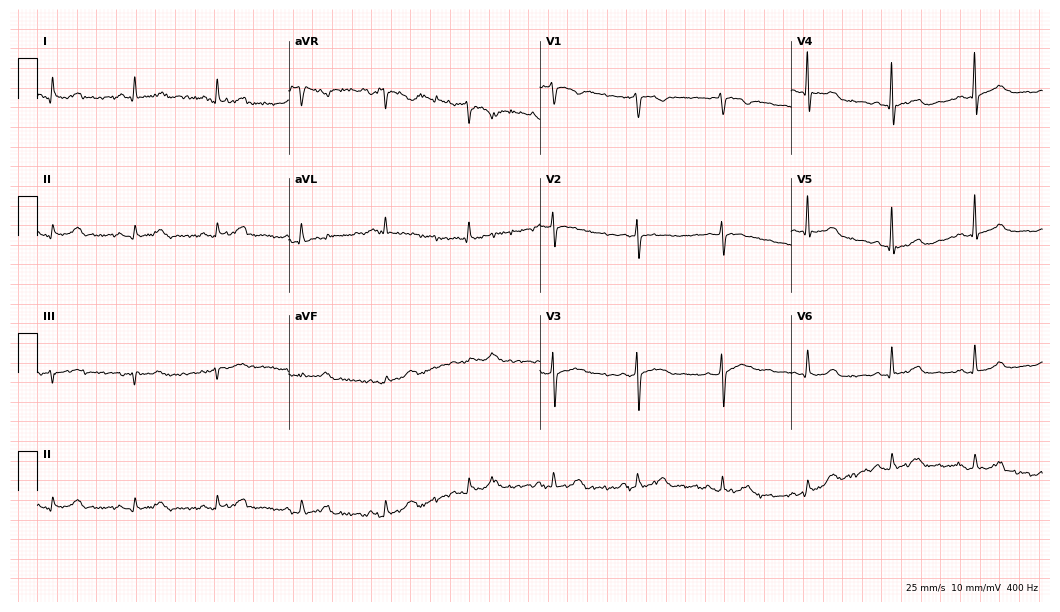
Resting 12-lead electrocardiogram (10.2-second recording at 400 Hz). Patient: a 78-year-old man. Read as a normal ECG.